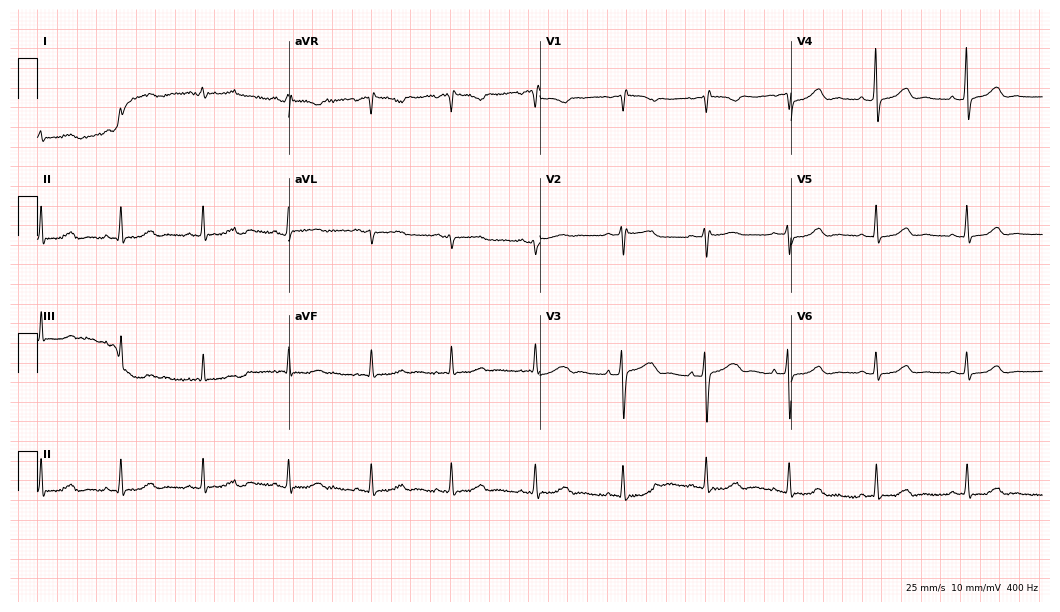
12-lead ECG from a female, 39 years old. Recorded interpretation: within normal limits.